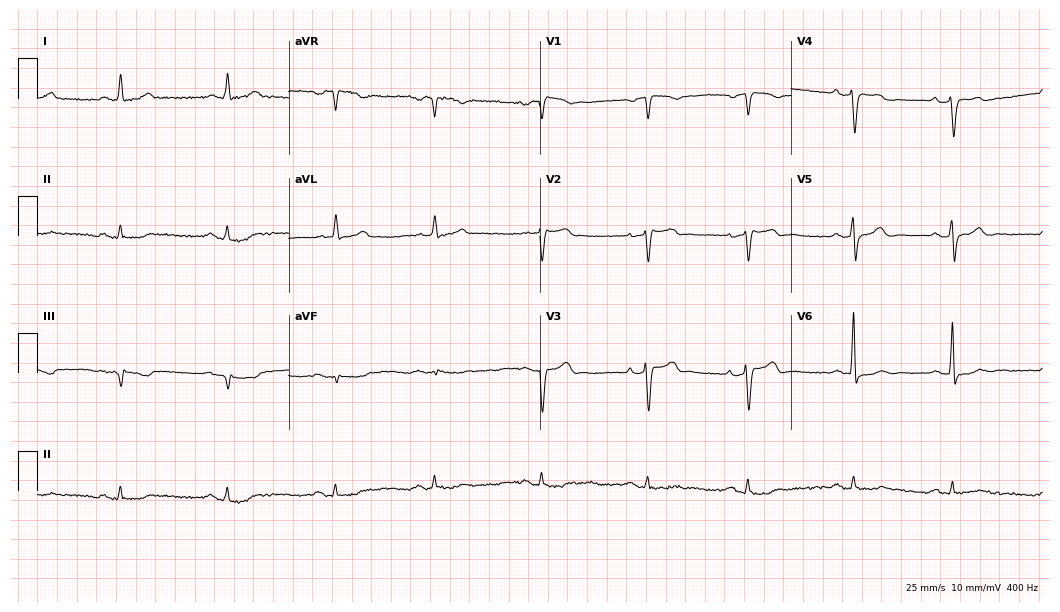
12-lead ECG from an 81-year-old male (10.2-second recording at 400 Hz). Recorded interpretation: within normal limits.